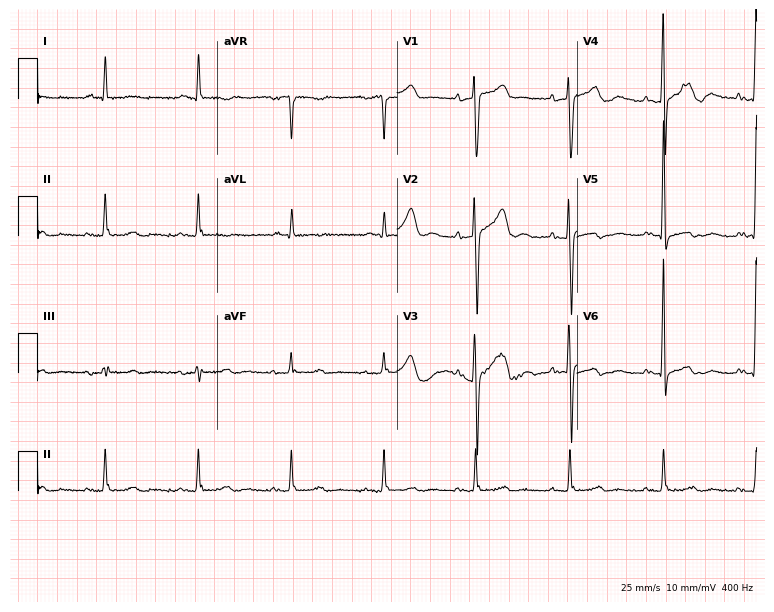
Electrocardiogram, a male patient, 70 years old. Overall reading on record: normal ECG.